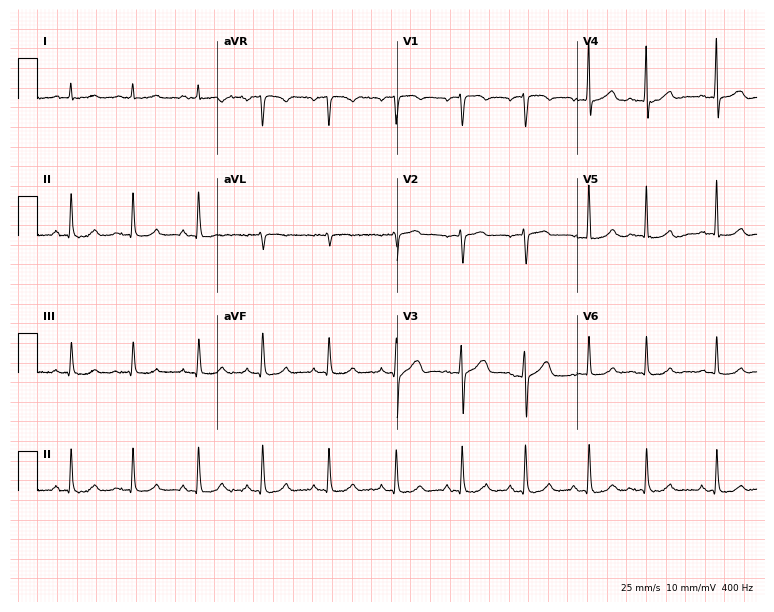
Standard 12-lead ECG recorded from a 70-year-old male patient. Read as a normal ECG.